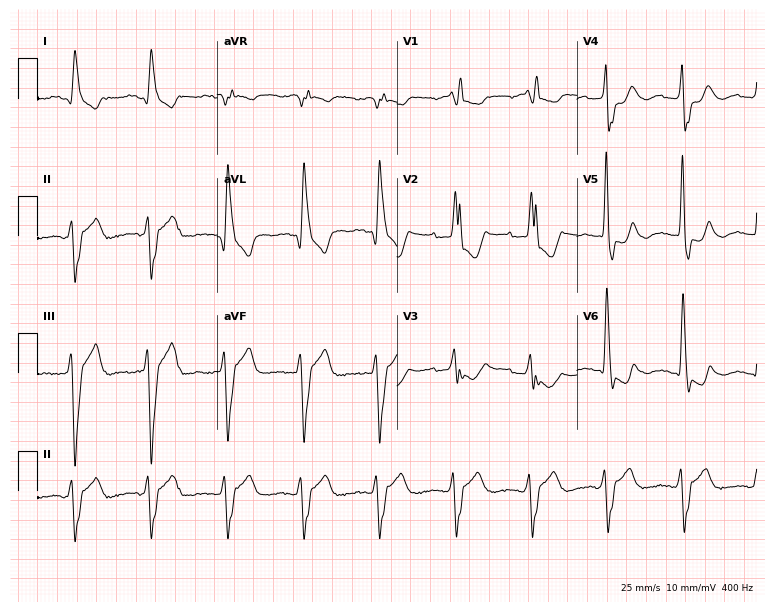
12-lead ECG from a 69-year-old female. Findings include right bundle branch block.